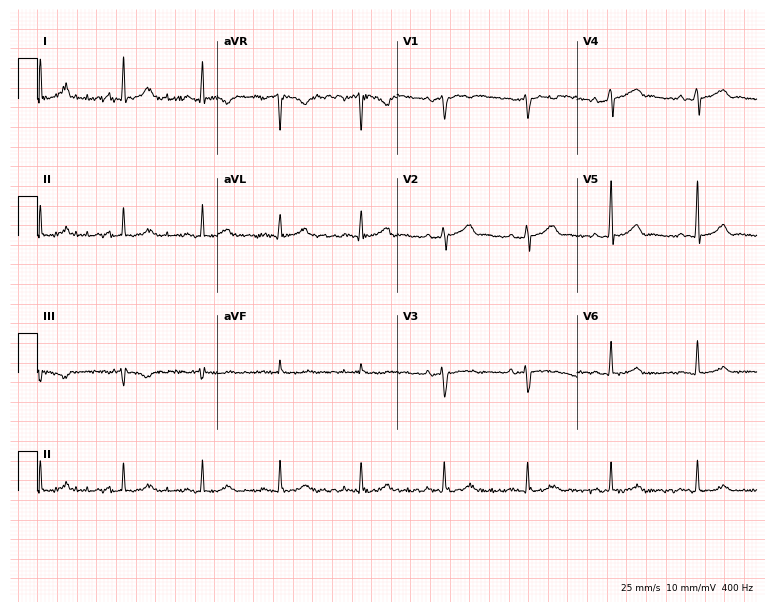
12-lead ECG from a 42-year-old woman. Screened for six findings — first-degree AV block, right bundle branch block (RBBB), left bundle branch block (LBBB), sinus bradycardia, atrial fibrillation (AF), sinus tachycardia — none is recorded. Other findings, if any, are not listed.